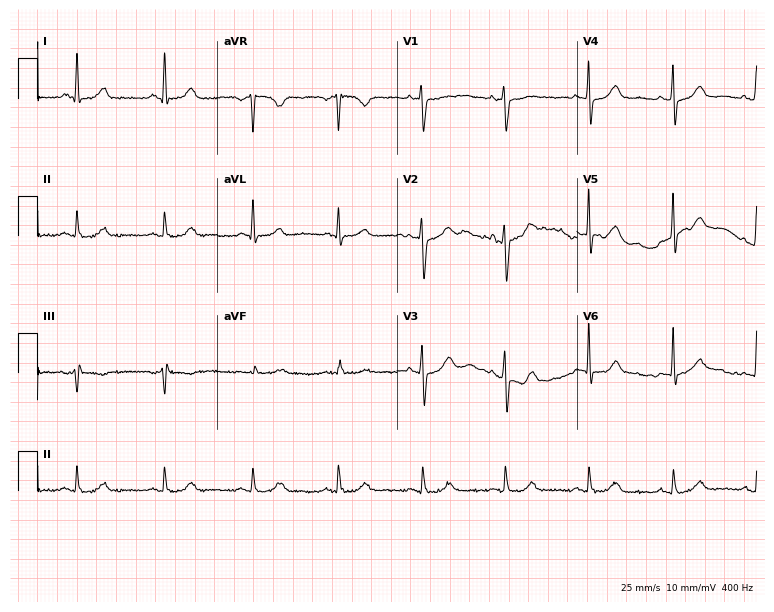
Resting 12-lead electrocardiogram. Patient: a 63-year-old female. Read as a normal ECG.